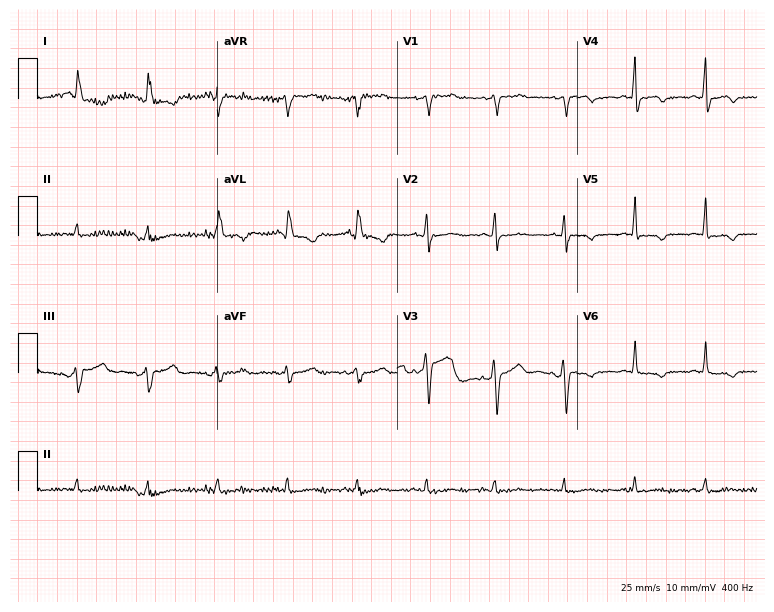
12-lead ECG (7.3-second recording at 400 Hz) from a 77-year-old woman. Screened for six findings — first-degree AV block, right bundle branch block, left bundle branch block, sinus bradycardia, atrial fibrillation, sinus tachycardia — none is recorded.